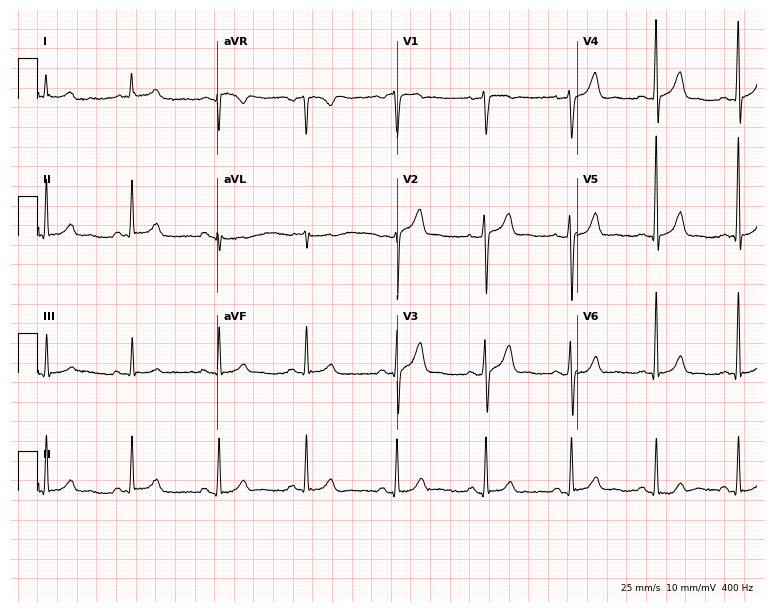
Electrocardiogram, a male patient, 34 years old. Of the six screened findings (first-degree AV block, right bundle branch block, left bundle branch block, sinus bradycardia, atrial fibrillation, sinus tachycardia), none is recorded.